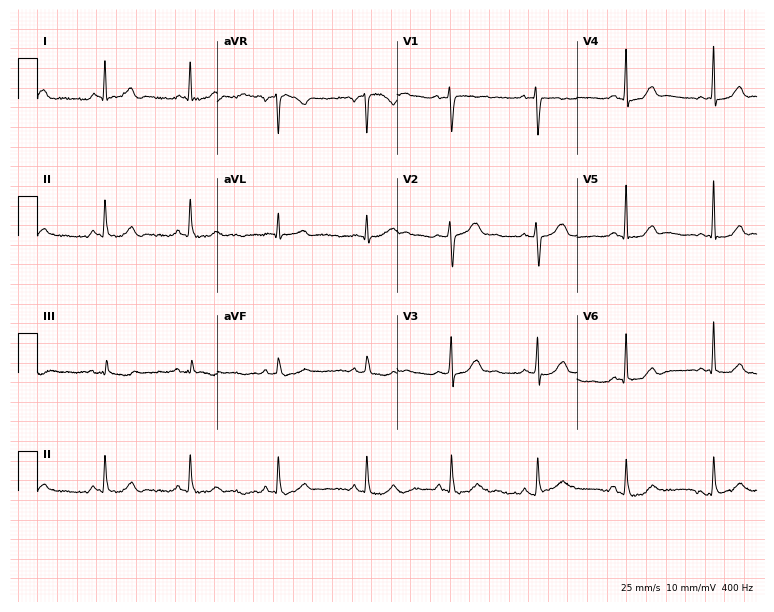
Standard 12-lead ECG recorded from a 42-year-old woman (7.3-second recording at 400 Hz). None of these six findings is recorded: first-degree AV block, right bundle branch block, left bundle branch block, sinus bradycardia, atrial fibrillation, sinus tachycardia. Other findings, if any, are not listed.